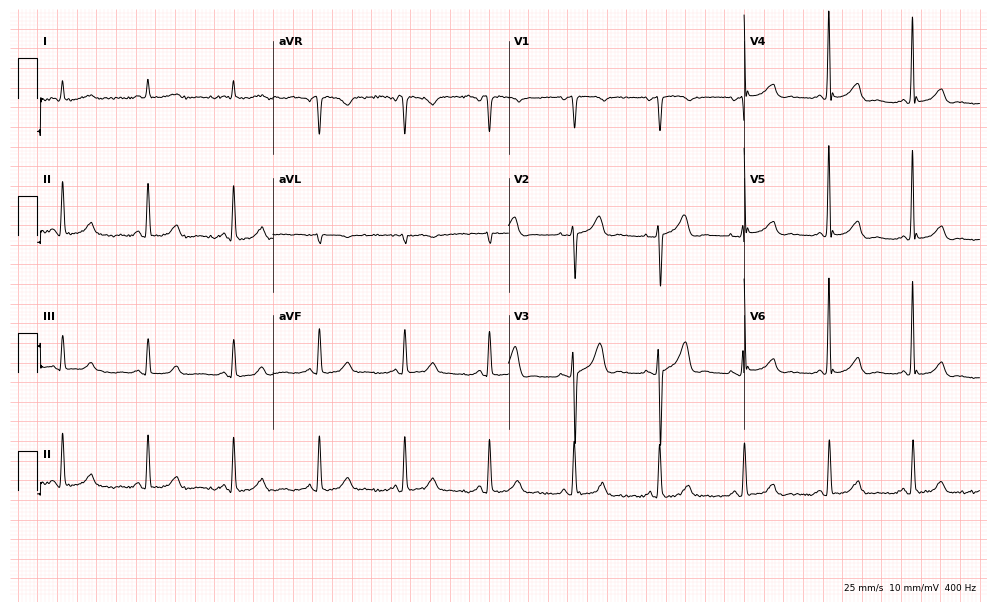
Standard 12-lead ECG recorded from a 79-year-old female (9.6-second recording at 400 Hz). Read as a normal ECG.